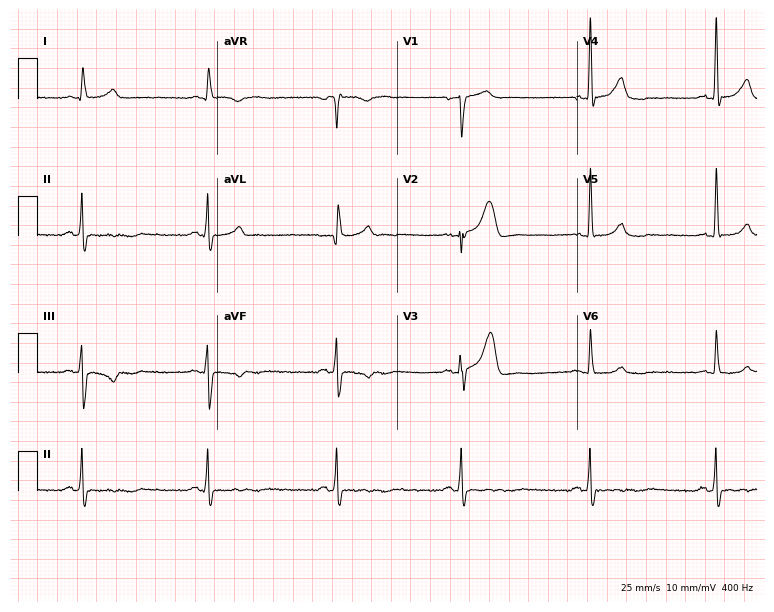
12-lead ECG from a 72-year-old woman (7.3-second recording at 400 Hz). Shows sinus bradycardia (a sinus rate of 50 beats per minute or less).